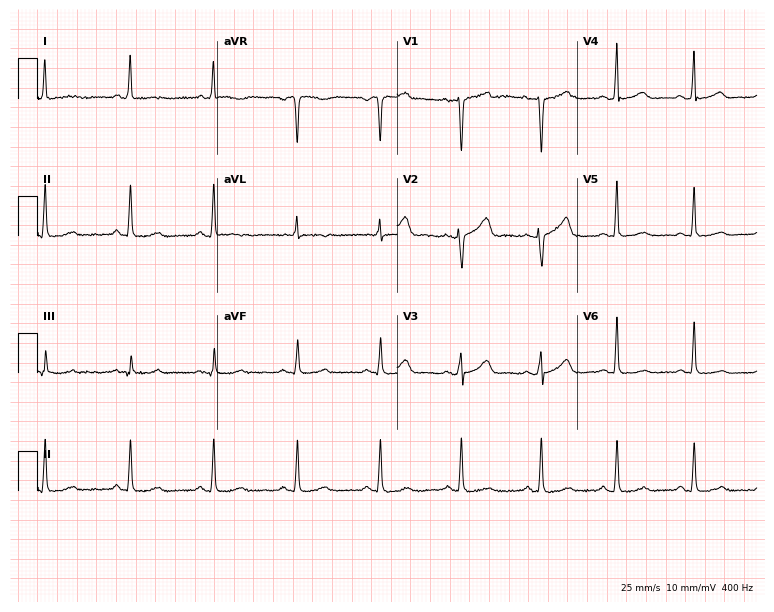
Electrocardiogram, a female patient, 48 years old. Of the six screened findings (first-degree AV block, right bundle branch block (RBBB), left bundle branch block (LBBB), sinus bradycardia, atrial fibrillation (AF), sinus tachycardia), none is recorded.